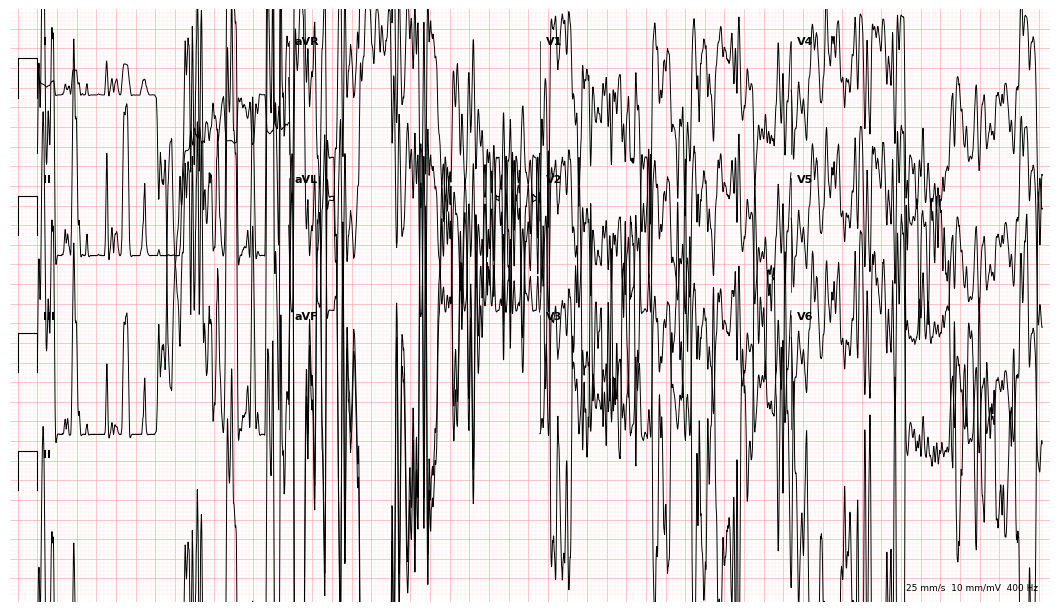
Standard 12-lead ECG recorded from a 39-year-old female patient. None of these six findings is recorded: first-degree AV block, right bundle branch block, left bundle branch block, sinus bradycardia, atrial fibrillation, sinus tachycardia.